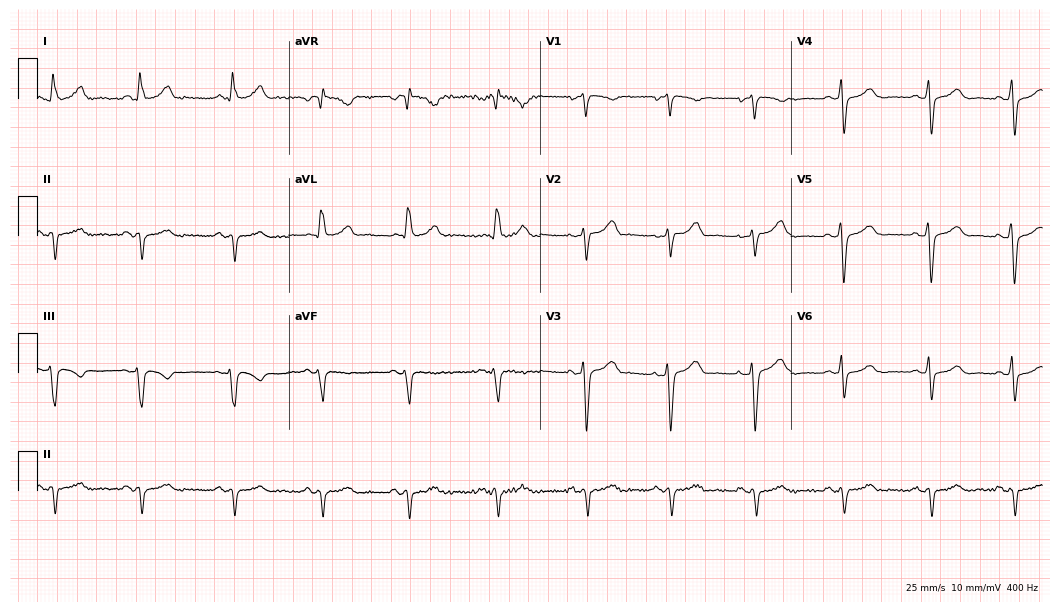
Resting 12-lead electrocardiogram. Patient: a female, 56 years old. None of these six findings is recorded: first-degree AV block, right bundle branch block, left bundle branch block, sinus bradycardia, atrial fibrillation, sinus tachycardia.